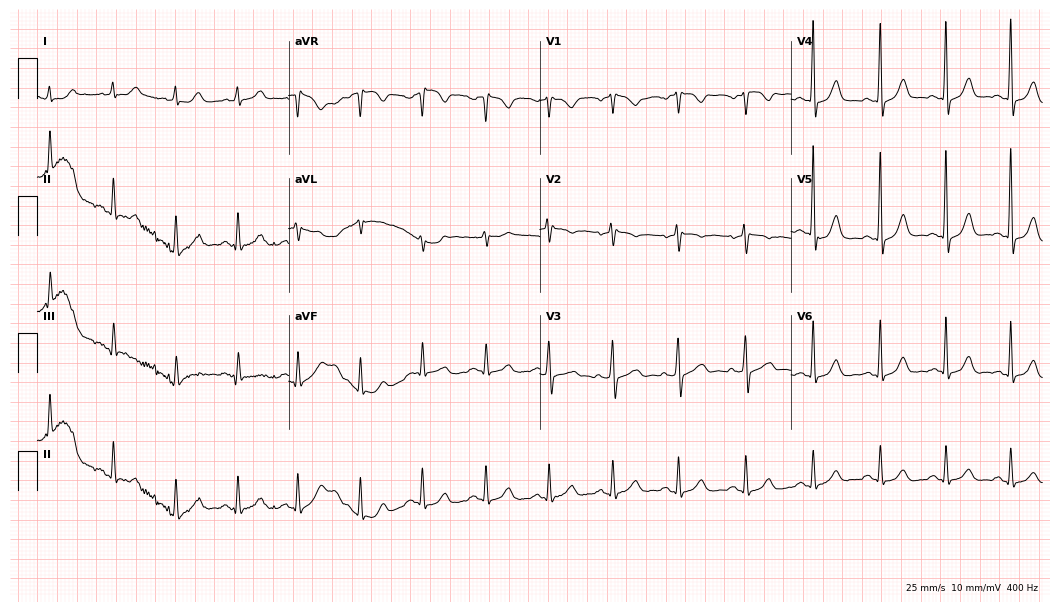
Standard 12-lead ECG recorded from a 56-year-old man (10.2-second recording at 400 Hz). Read as a normal ECG.